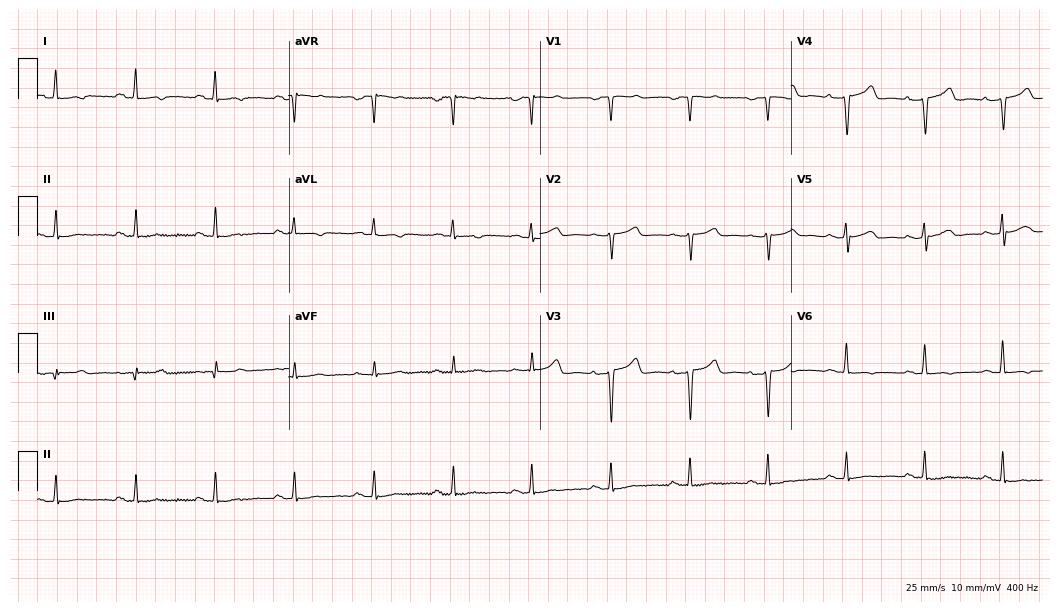
Resting 12-lead electrocardiogram (10.2-second recording at 400 Hz). Patient: a female, 63 years old. None of these six findings is recorded: first-degree AV block, right bundle branch block, left bundle branch block, sinus bradycardia, atrial fibrillation, sinus tachycardia. Other findings, if any, are not listed.